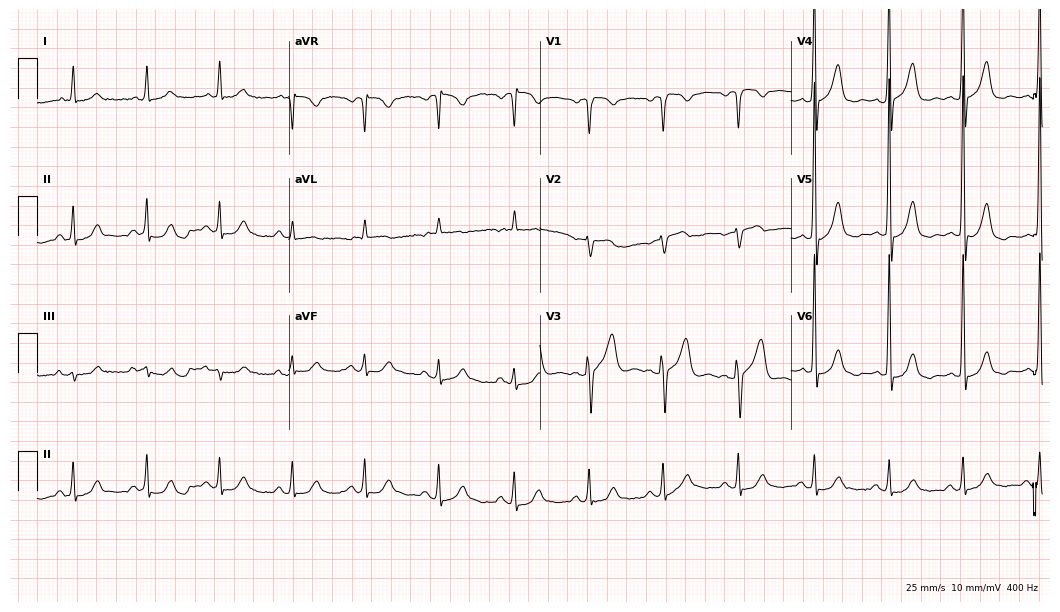
Standard 12-lead ECG recorded from a 78-year-old male patient (10.2-second recording at 400 Hz). None of these six findings is recorded: first-degree AV block, right bundle branch block, left bundle branch block, sinus bradycardia, atrial fibrillation, sinus tachycardia.